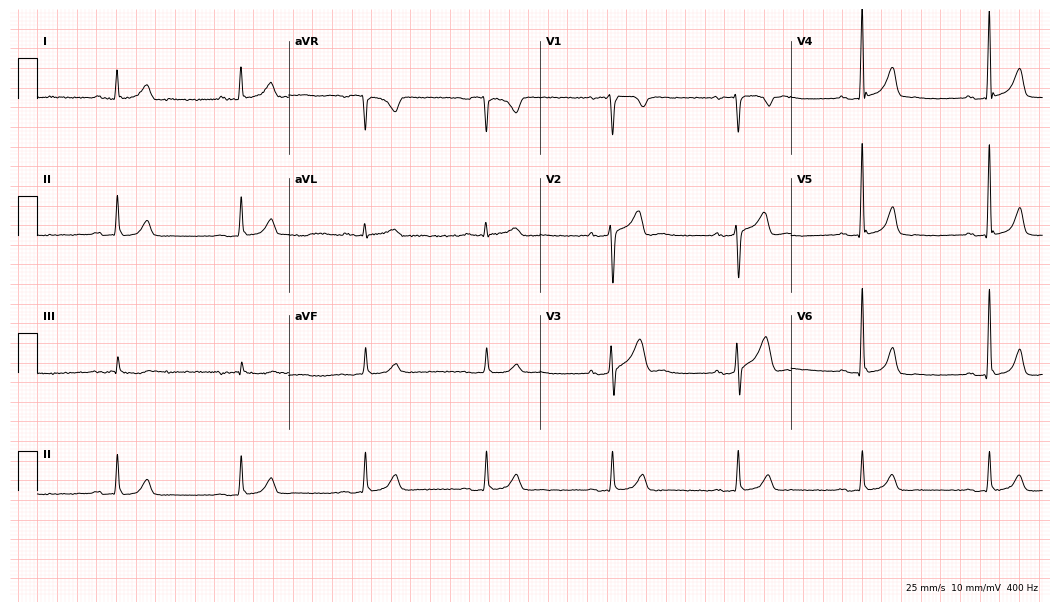
Electrocardiogram, a 52-year-old male. Of the six screened findings (first-degree AV block, right bundle branch block, left bundle branch block, sinus bradycardia, atrial fibrillation, sinus tachycardia), none is recorded. Other findings, if any, are not listed.